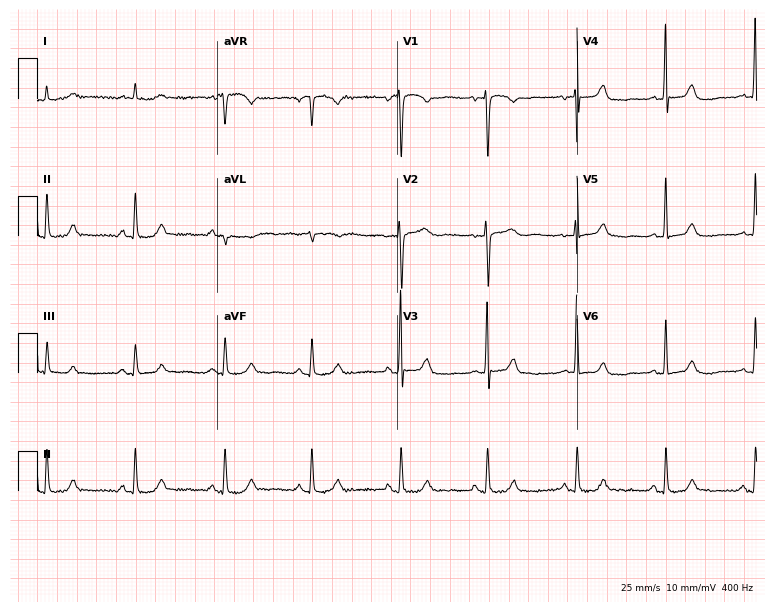
Standard 12-lead ECG recorded from a female, 79 years old (7.3-second recording at 400 Hz). None of these six findings is recorded: first-degree AV block, right bundle branch block (RBBB), left bundle branch block (LBBB), sinus bradycardia, atrial fibrillation (AF), sinus tachycardia. Only these six findings were labelled.